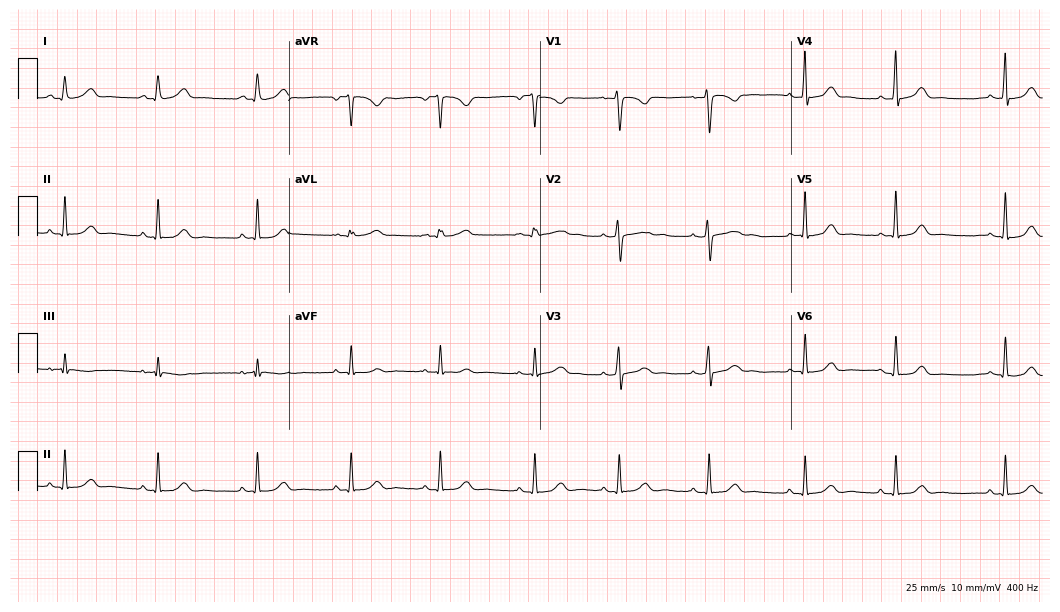
12-lead ECG from a woman, 19 years old. Recorded interpretation: within normal limits.